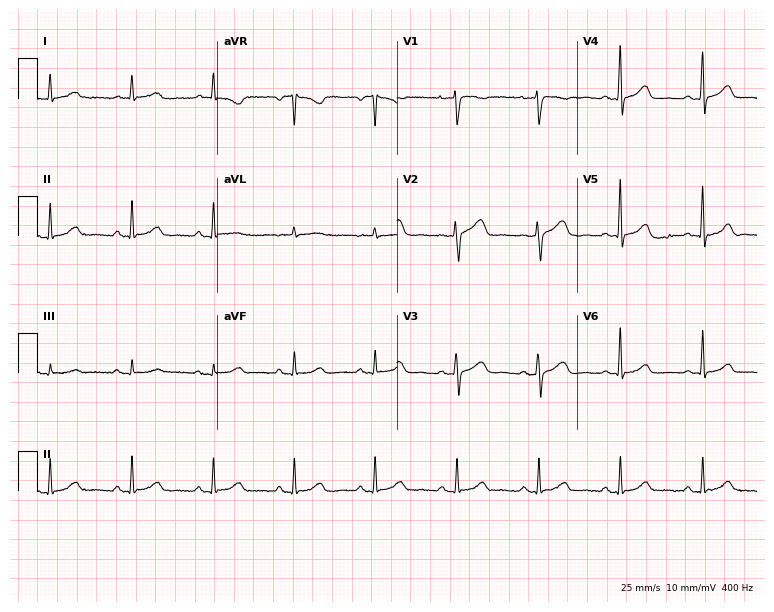
12-lead ECG from a 61-year-old woman. No first-degree AV block, right bundle branch block, left bundle branch block, sinus bradycardia, atrial fibrillation or sinus tachycardia recorded for this tracing.